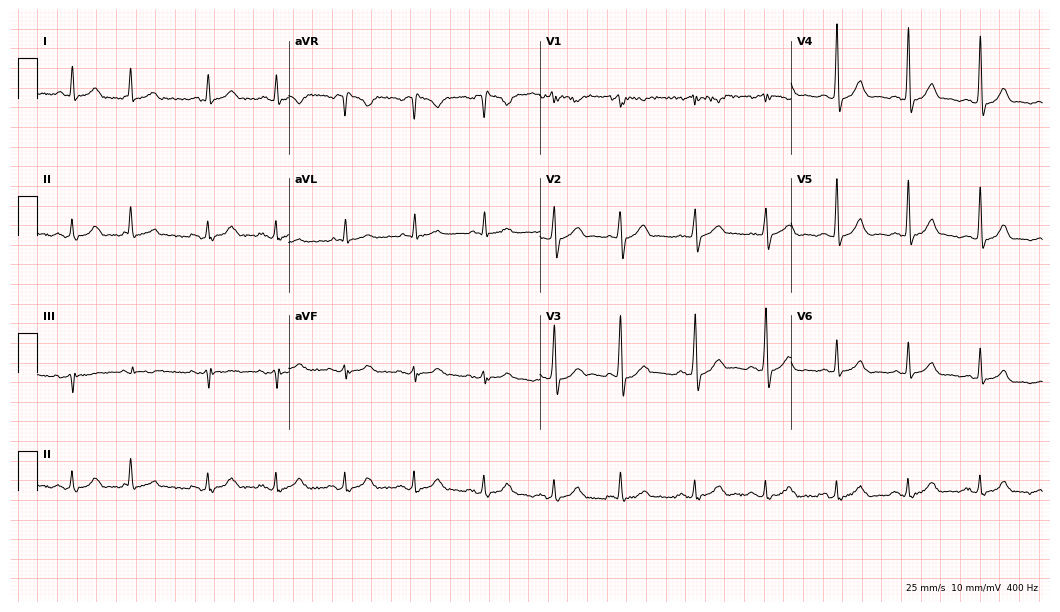
Resting 12-lead electrocardiogram. Patient: a 64-year-old male. None of these six findings is recorded: first-degree AV block, right bundle branch block, left bundle branch block, sinus bradycardia, atrial fibrillation, sinus tachycardia. Only these six findings were labelled.